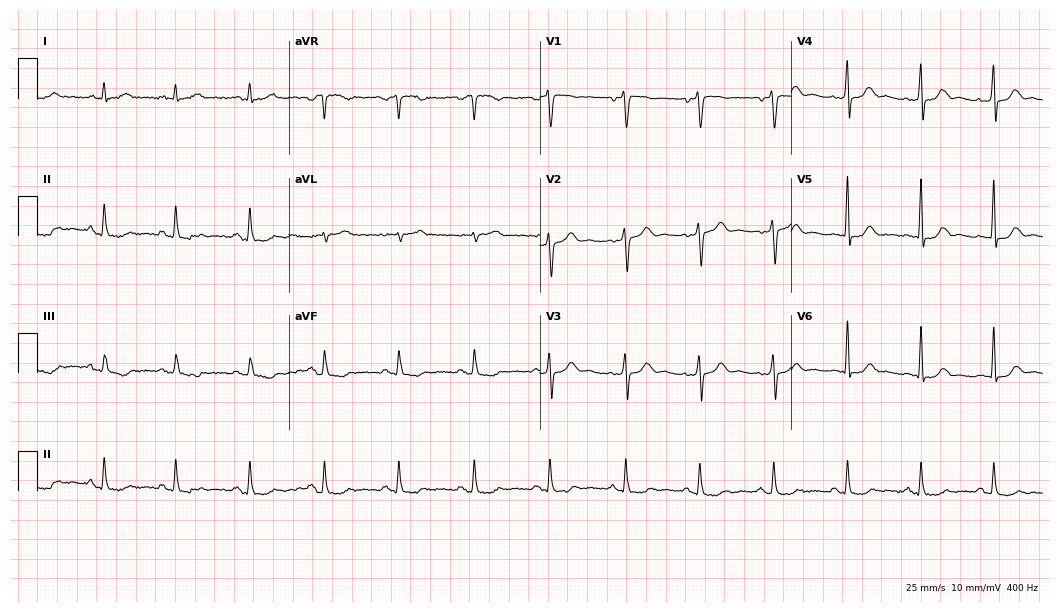
Standard 12-lead ECG recorded from a male, 56 years old (10.2-second recording at 400 Hz). None of these six findings is recorded: first-degree AV block, right bundle branch block, left bundle branch block, sinus bradycardia, atrial fibrillation, sinus tachycardia. Other findings, if any, are not listed.